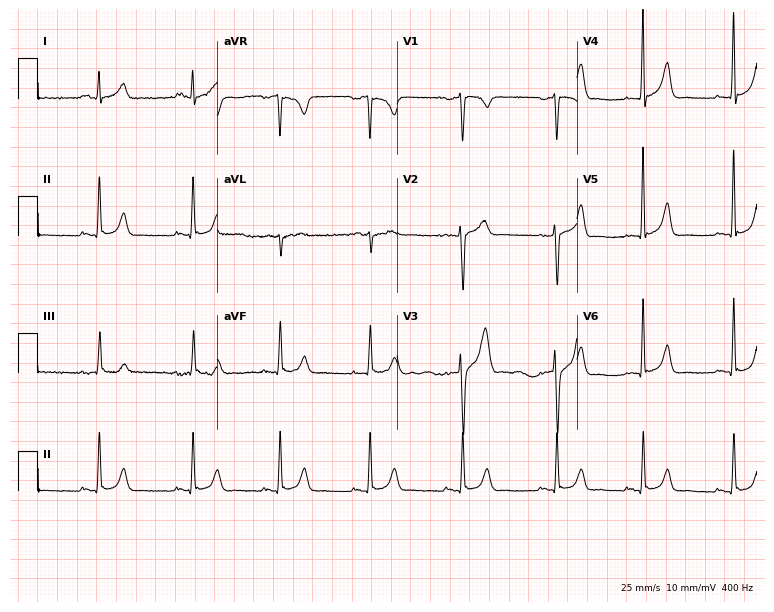
Resting 12-lead electrocardiogram (7.3-second recording at 400 Hz). Patient: a 30-year-old man. Read as a normal ECG.